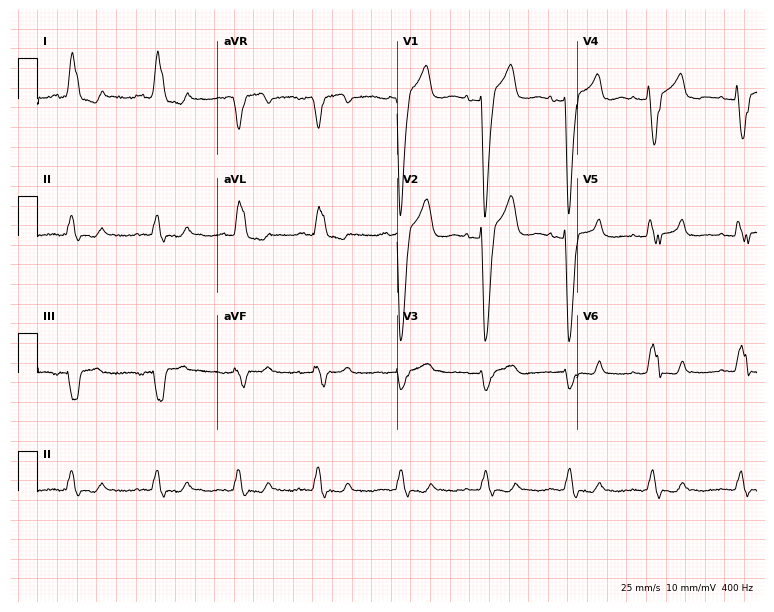
Electrocardiogram, a female, 62 years old. Interpretation includes left bundle branch block (LBBB).